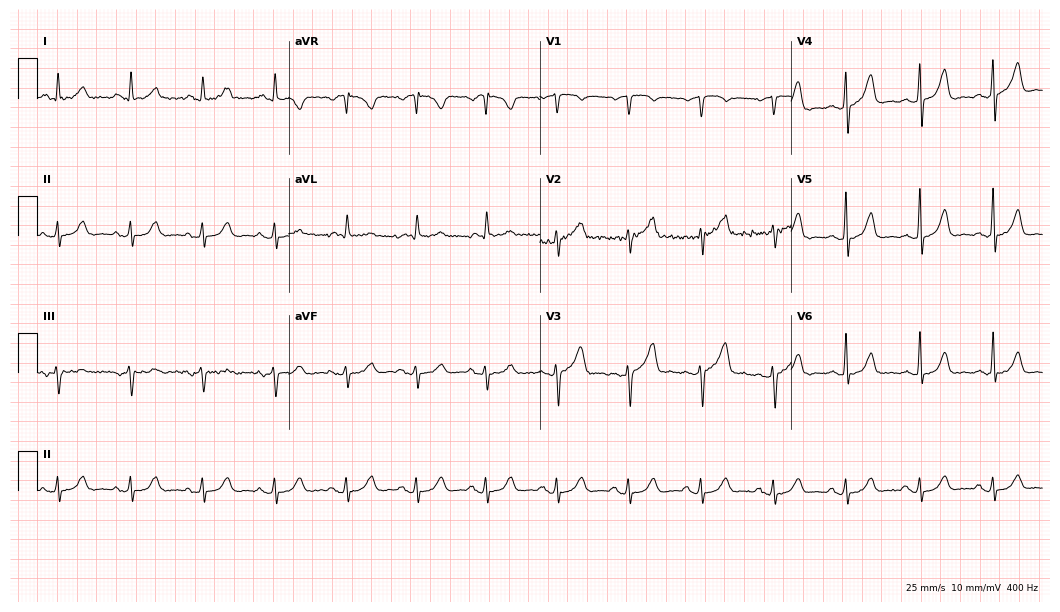
Electrocardiogram, an 81-year-old male. Overall reading on record: normal ECG.